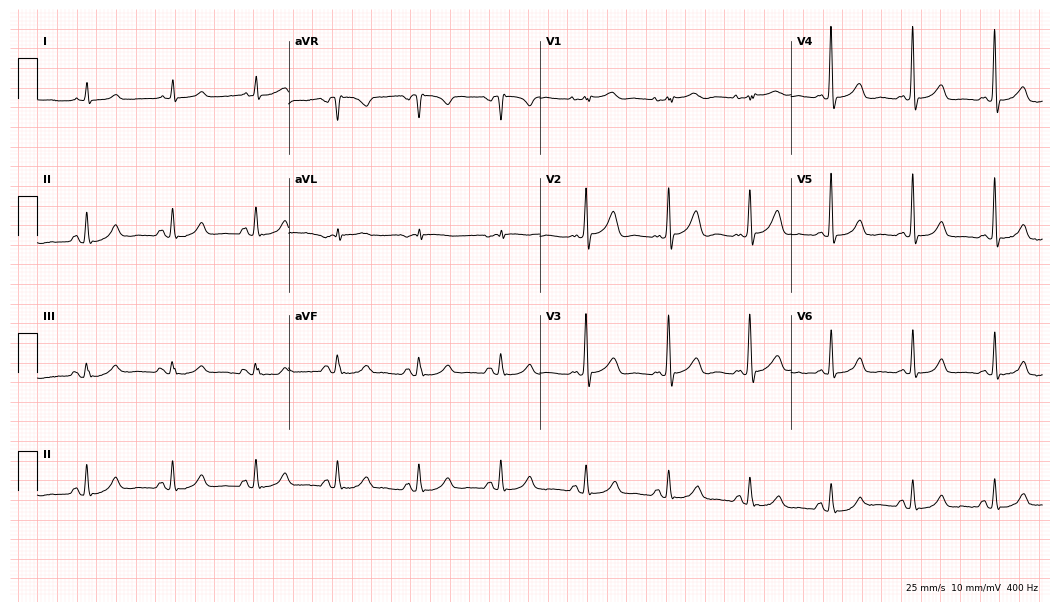
Standard 12-lead ECG recorded from a male, 83 years old (10.2-second recording at 400 Hz). None of these six findings is recorded: first-degree AV block, right bundle branch block (RBBB), left bundle branch block (LBBB), sinus bradycardia, atrial fibrillation (AF), sinus tachycardia.